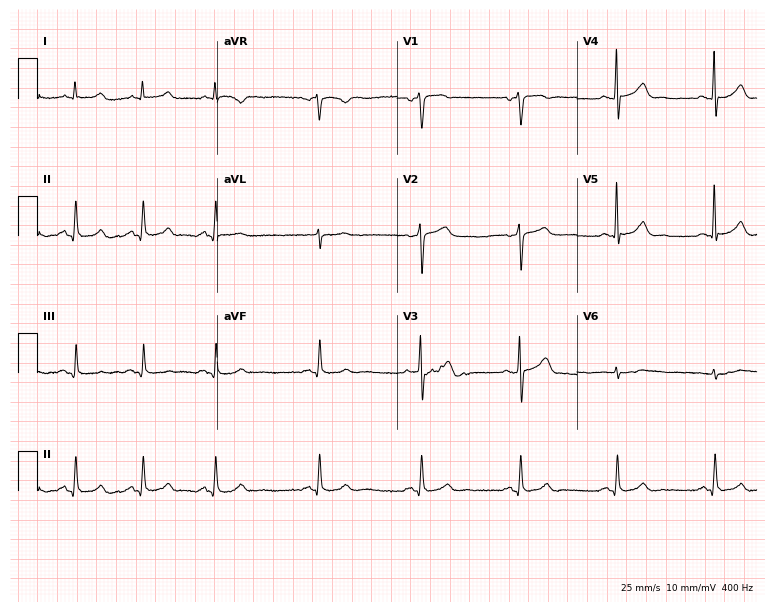
Standard 12-lead ECG recorded from a male, 58 years old. Read as a normal ECG.